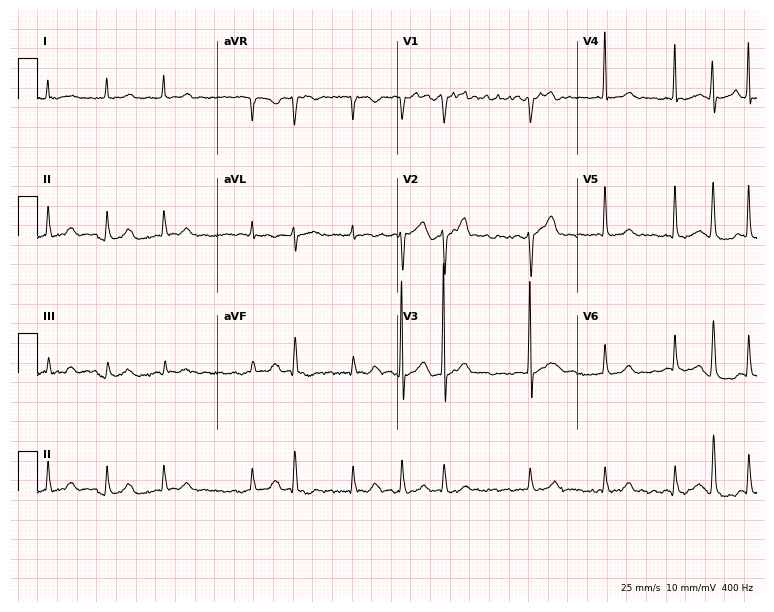
Electrocardiogram, a 77-year-old male. Interpretation includes atrial fibrillation.